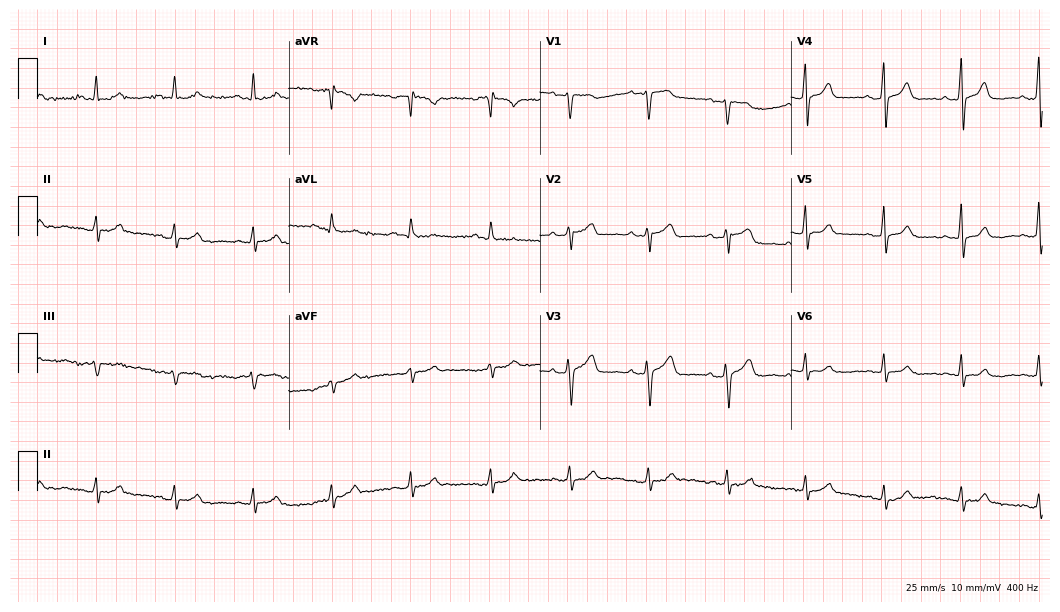
Standard 12-lead ECG recorded from a 53-year-old woman (10.2-second recording at 400 Hz). None of these six findings is recorded: first-degree AV block, right bundle branch block (RBBB), left bundle branch block (LBBB), sinus bradycardia, atrial fibrillation (AF), sinus tachycardia.